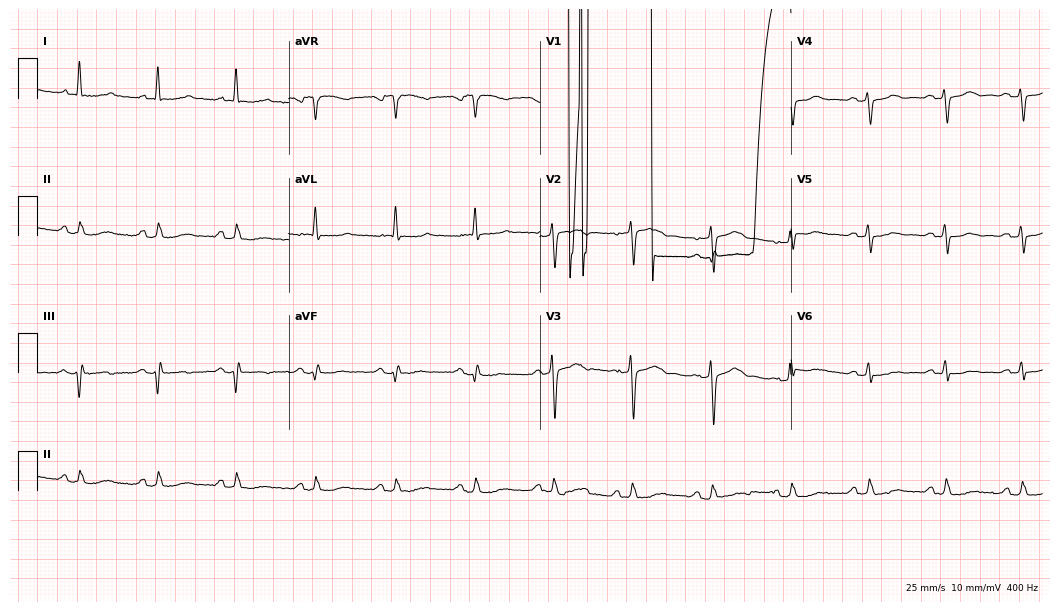
12-lead ECG (10.2-second recording at 400 Hz) from a 77-year-old female. Screened for six findings — first-degree AV block, right bundle branch block (RBBB), left bundle branch block (LBBB), sinus bradycardia, atrial fibrillation (AF), sinus tachycardia — none is recorded.